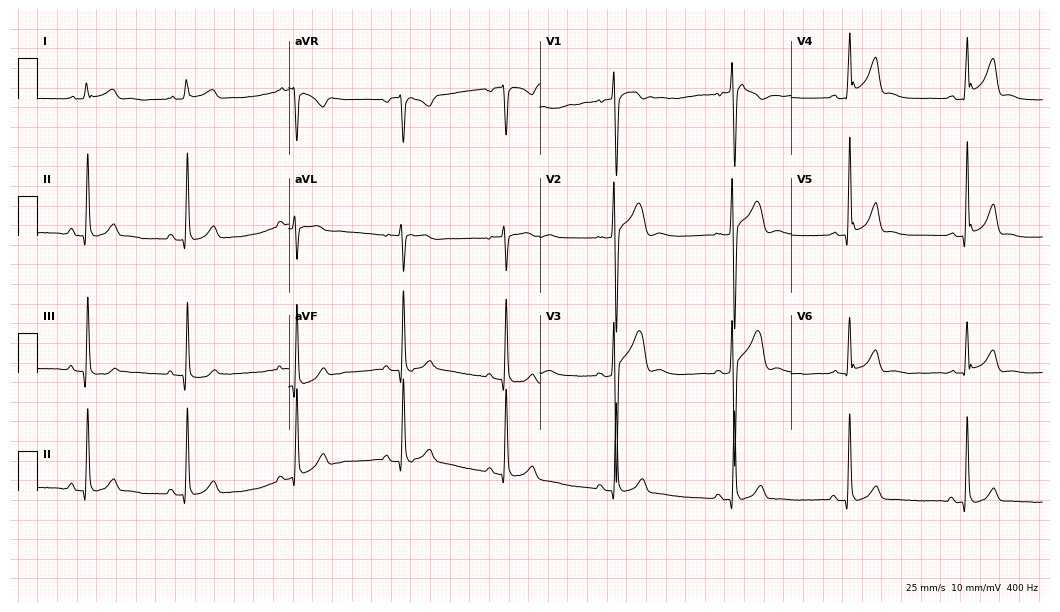
Electrocardiogram (10.2-second recording at 400 Hz), a male patient, 22 years old. Overall reading on record: normal ECG.